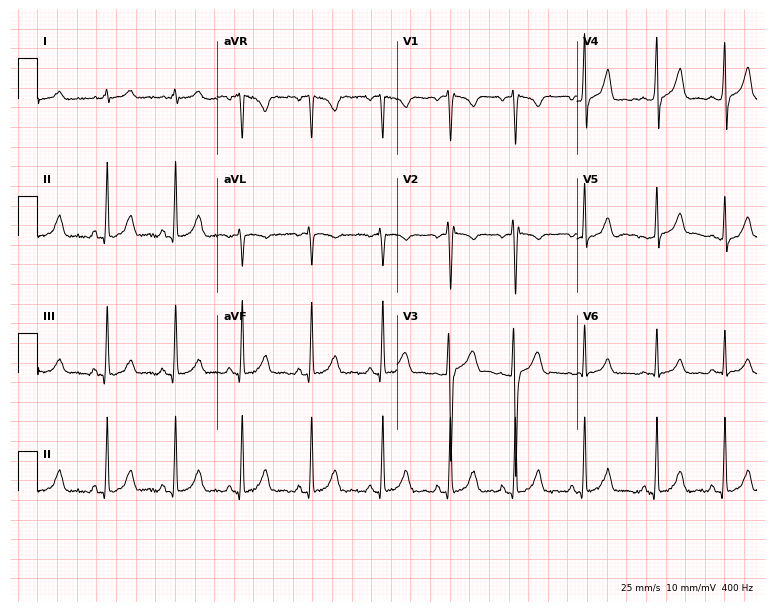
12-lead ECG from a 27-year-old man. No first-degree AV block, right bundle branch block, left bundle branch block, sinus bradycardia, atrial fibrillation or sinus tachycardia recorded for this tracing. Findings outside these six are not listed.